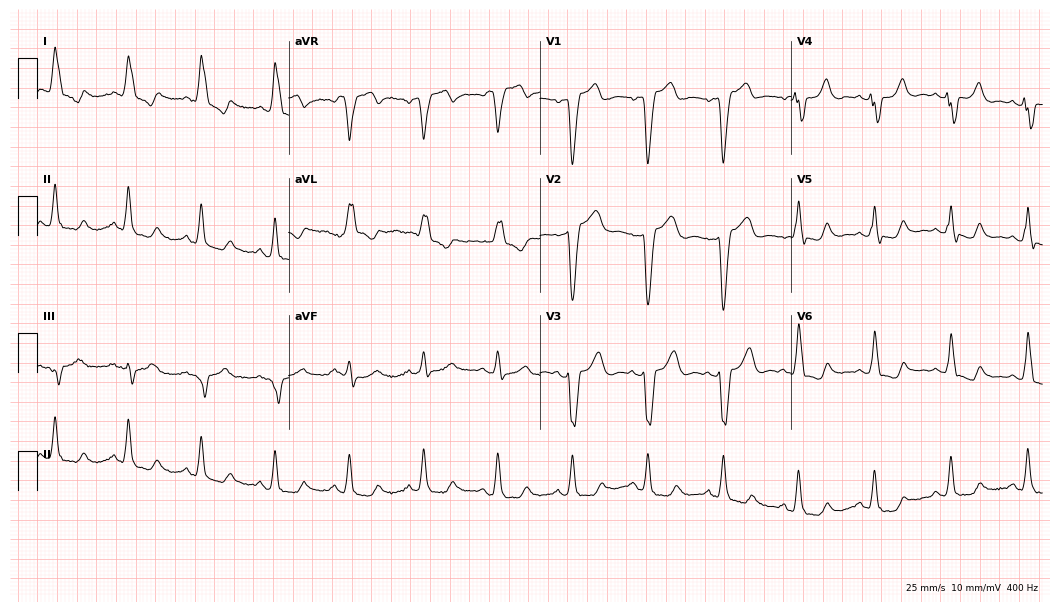
12-lead ECG from a 71-year-old woman (10.2-second recording at 400 Hz). Shows left bundle branch block.